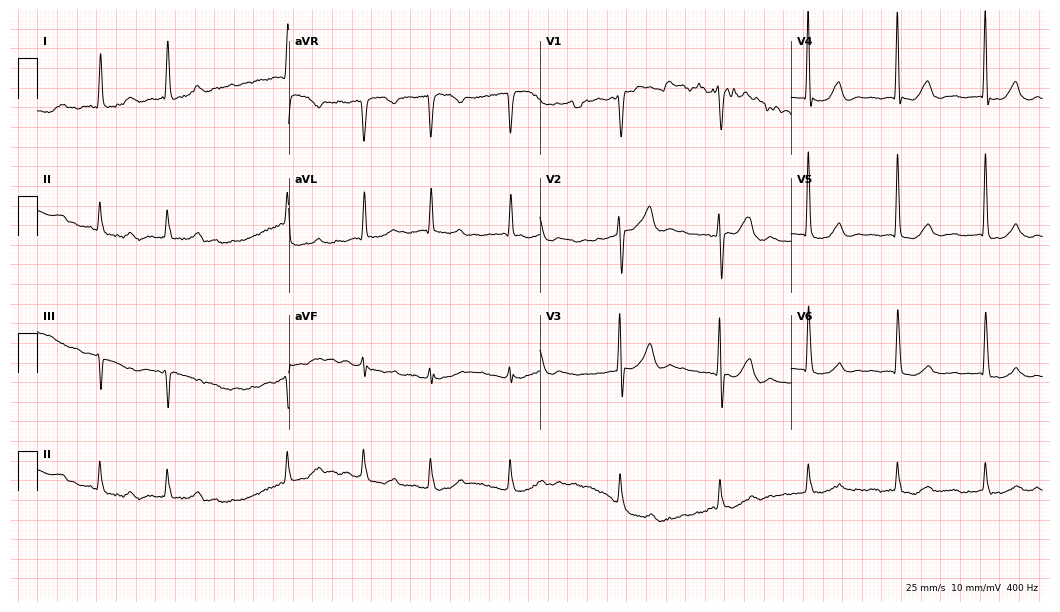
12-lead ECG from a woman, 85 years old. Shows atrial fibrillation.